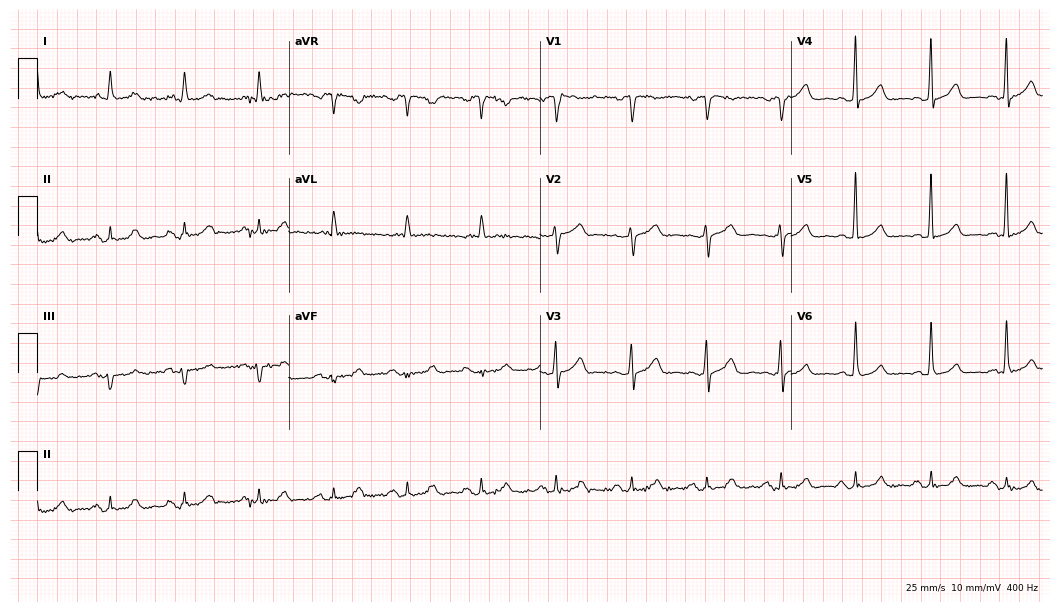
Resting 12-lead electrocardiogram. Patient: a female, 72 years old. Read as a normal ECG.